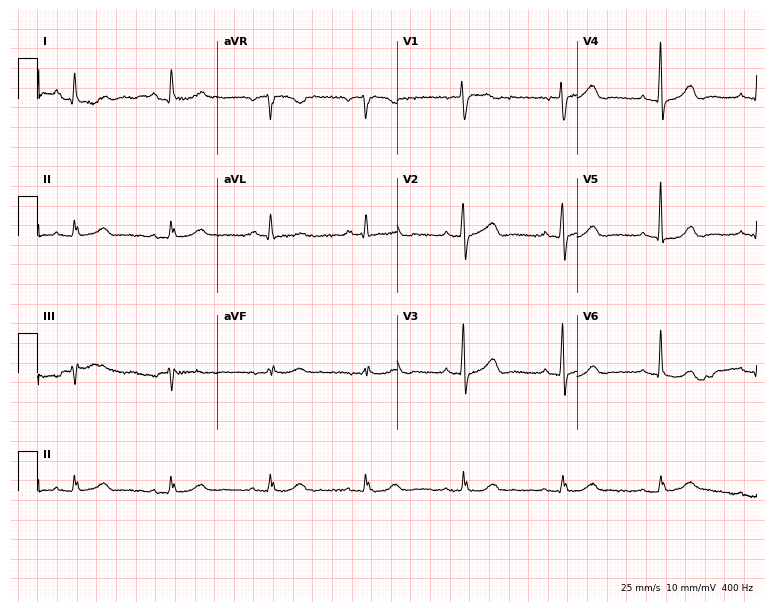
ECG — an 84-year-old female patient. Screened for six findings — first-degree AV block, right bundle branch block, left bundle branch block, sinus bradycardia, atrial fibrillation, sinus tachycardia — none is recorded. Other findings, if any, are not listed.